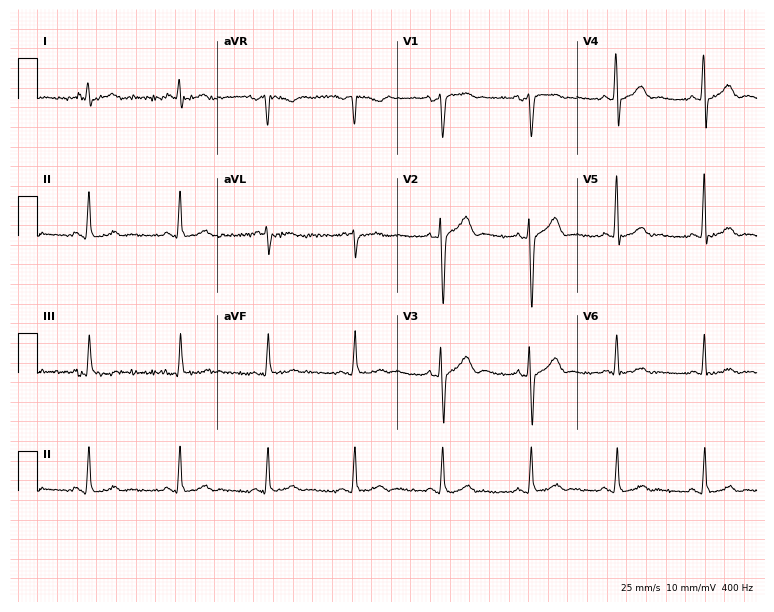
Resting 12-lead electrocardiogram. Patient: a man, 65 years old. Read as a normal ECG.